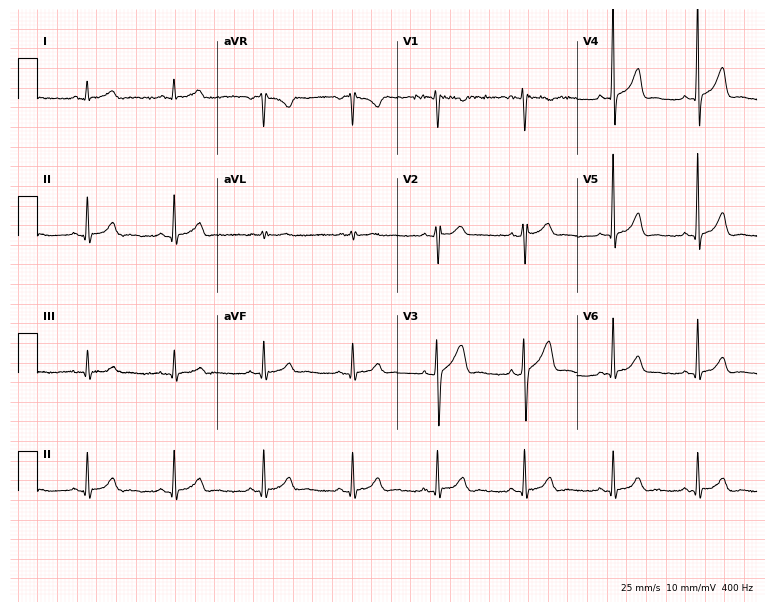
Electrocardiogram, a male, 41 years old. Overall reading on record: normal ECG.